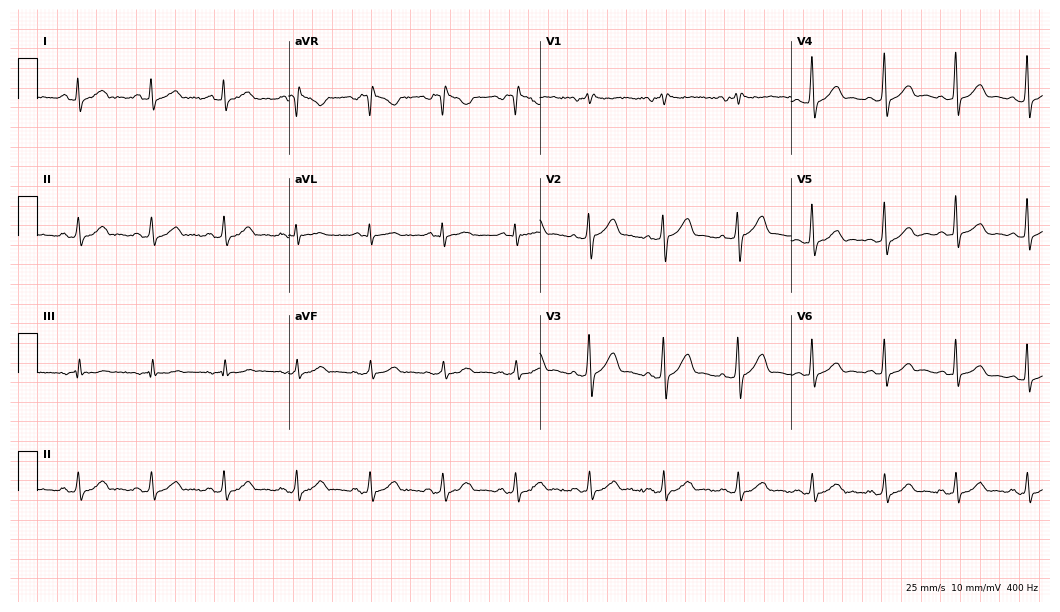
Standard 12-lead ECG recorded from a 52-year-old male patient. None of these six findings is recorded: first-degree AV block, right bundle branch block (RBBB), left bundle branch block (LBBB), sinus bradycardia, atrial fibrillation (AF), sinus tachycardia. Findings outside these six are not listed.